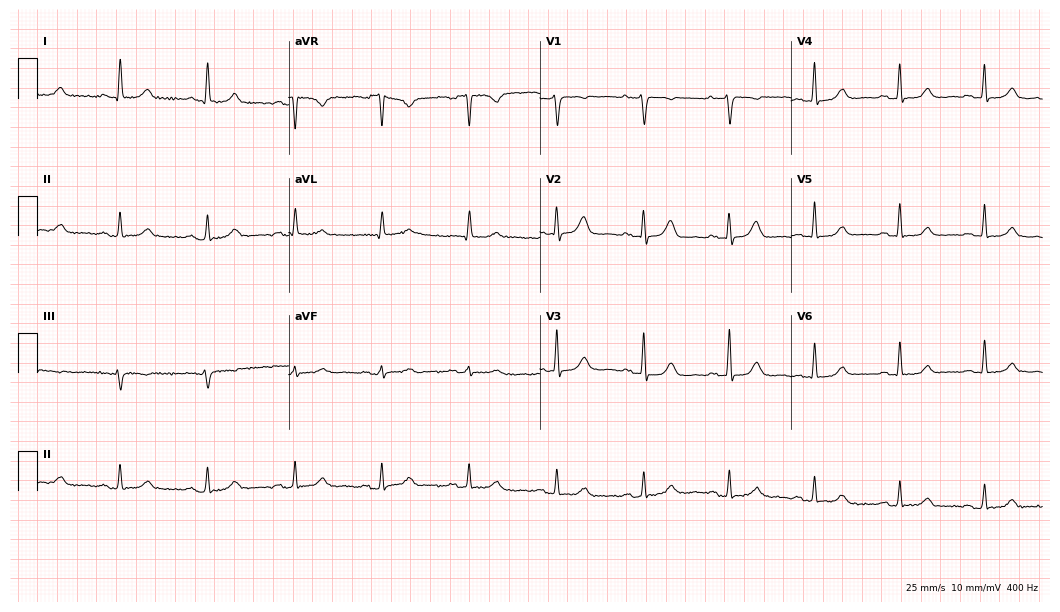
12-lead ECG from a 76-year-old female patient. No first-degree AV block, right bundle branch block, left bundle branch block, sinus bradycardia, atrial fibrillation or sinus tachycardia recorded for this tracing. Only these six findings were labelled.